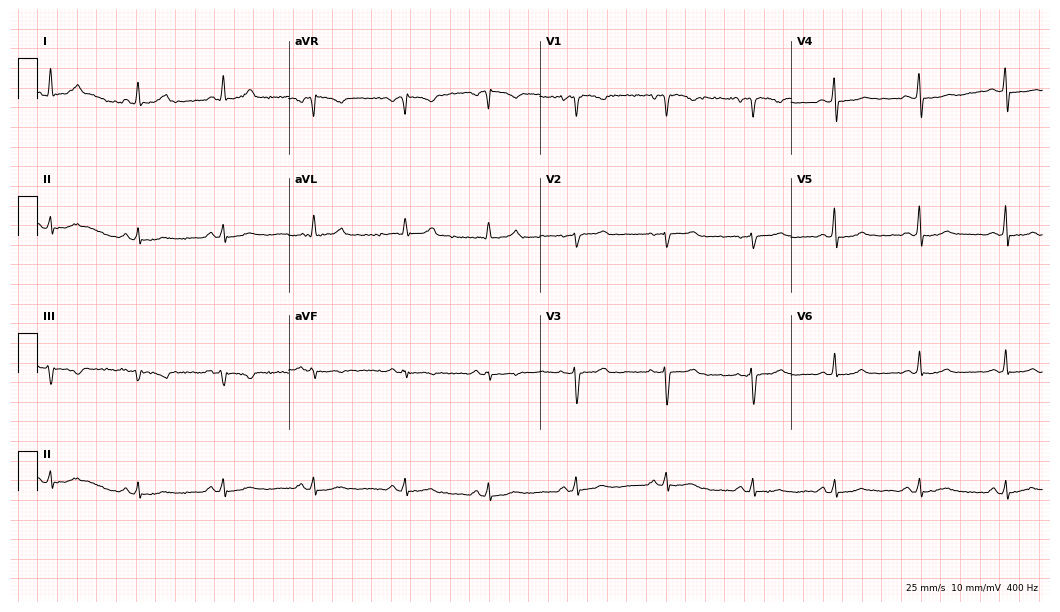
12-lead ECG from a 48-year-old woman (10.2-second recording at 400 Hz). No first-degree AV block, right bundle branch block, left bundle branch block, sinus bradycardia, atrial fibrillation or sinus tachycardia recorded for this tracing. Only these six findings were labelled.